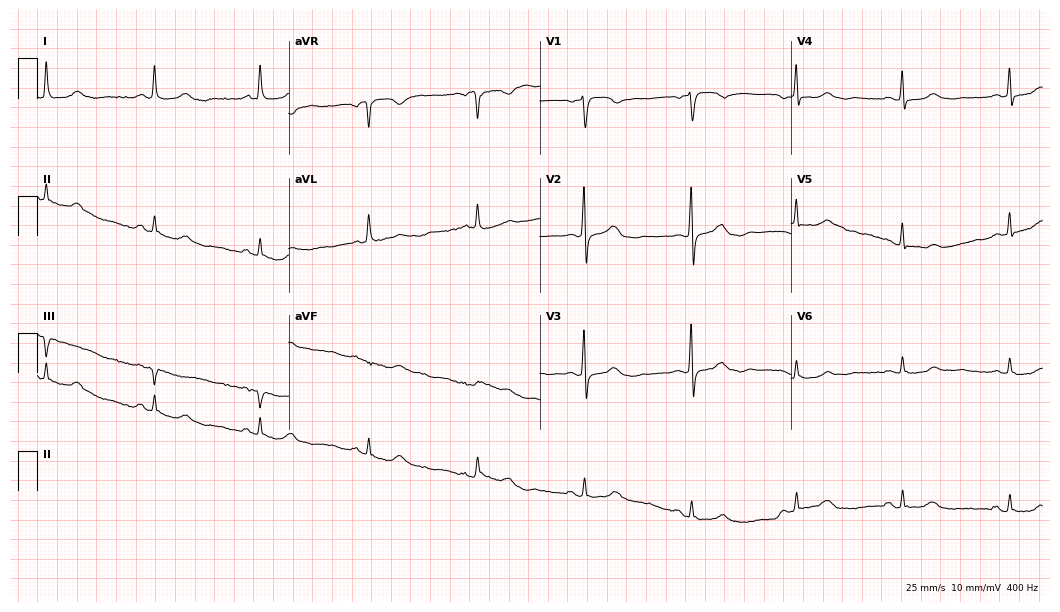
Resting 12-lead electrocardiogram. Patient: a female, 85 years old. Read as a normal ECG.